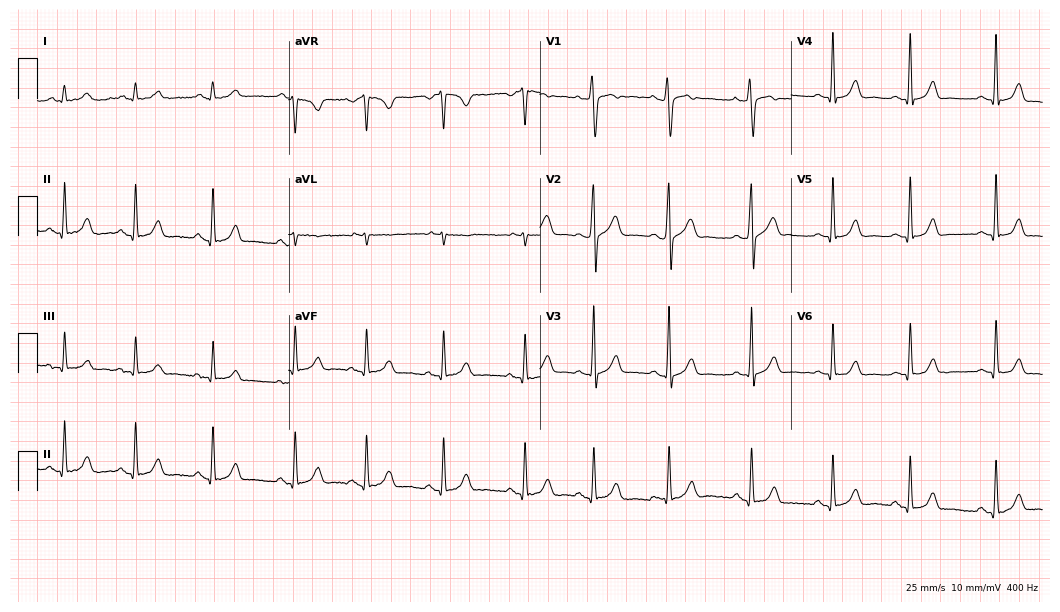
Electrocardiogram (10.2-second recording at 400 Hz), a female, 19 years old. Of the six screened findings (first-degree AV block, right bundle branch block, left bundle branch block, sinus bradycardia, atrial fibrillation, sinus tachycardia), none is recorded. Findings outside these six are not listed.